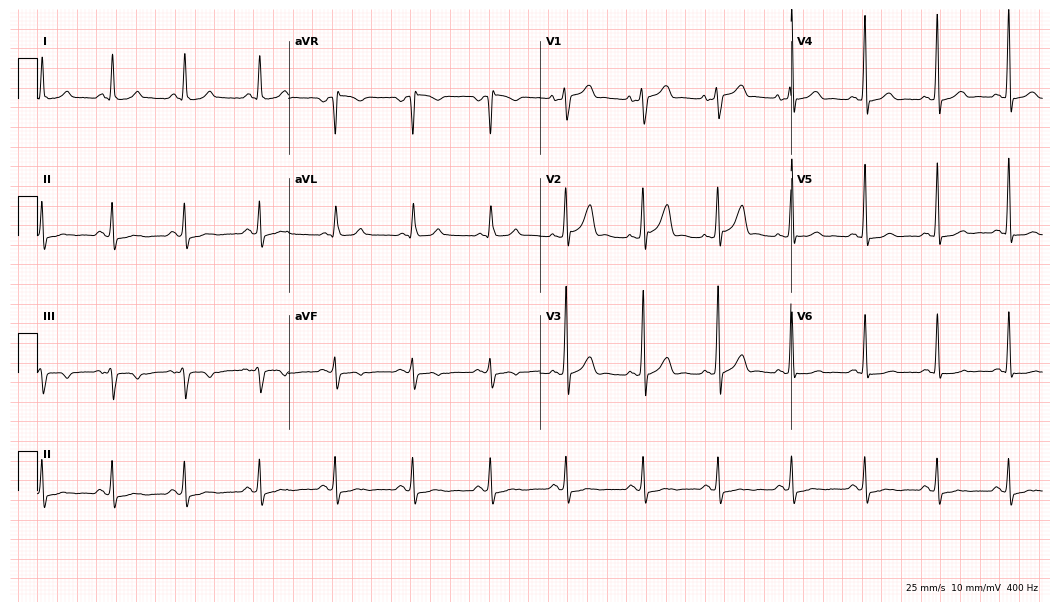
Standard 12-lead ECG recorded from a male, 51 years old. Read as a normal ECG.